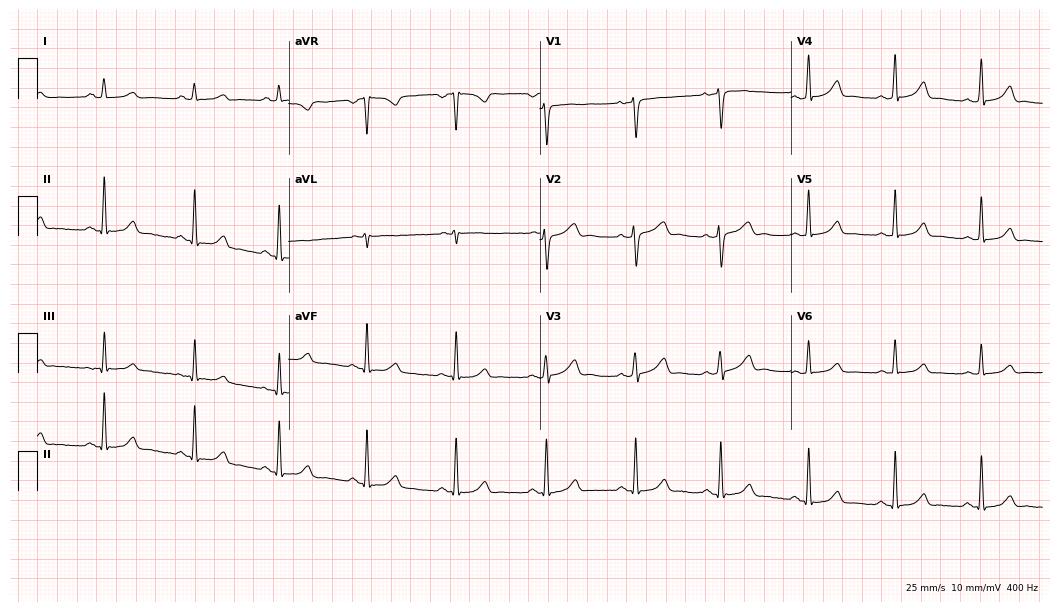
ECG — a female patient, 48 years old. Labelled as a normal ECG.